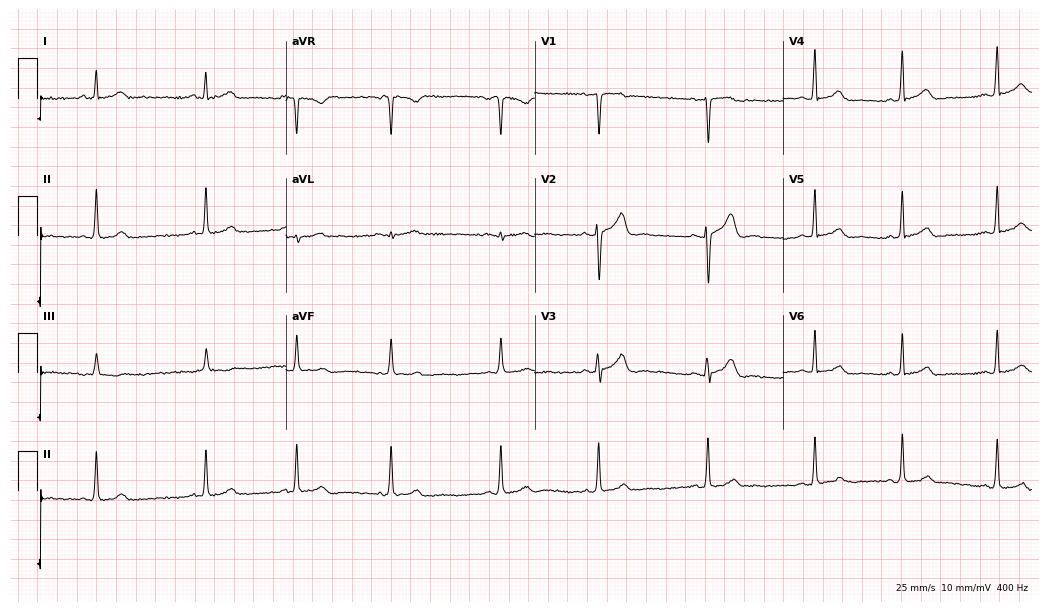
Electrocardiogram, a woman, 25 years old. Of the six screened findings (first-degree AV block, right bundle branch block (RBBB), left bundle branch block (LBBB), sinus bradycardia, atrial fibrillation (AF), sinus tachycardia), none is recorded. Findings outside these six are not listed.